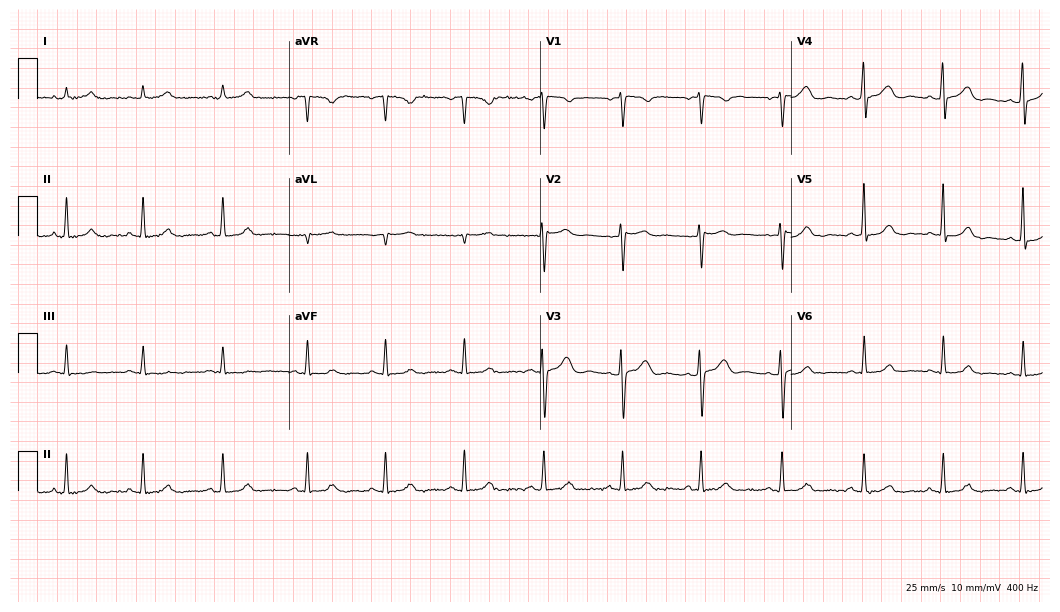
Standard 12-lead ECG recorded from a 38-year-old woman (10.2-second recording at 400 Hz). None of these six findings is recorded: first-degree AV block, right bundle branch block, left bundle branch block, sinus bradycardia, atrial fibrillation, sinus tachycardia. Findings outside these six are not listed.